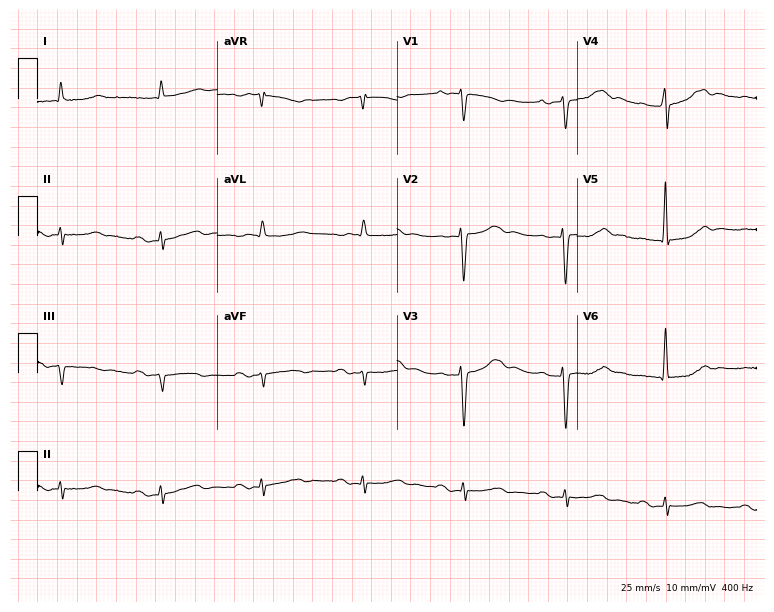
Standard 12-lead ECG recorded from a man, 85 years old (7.3-second recording at 400 Hz). None of these six findings is recorded: first-degree AV block, right bundle branch block, left bundle branch block, sinus bradycardia, atrial fibrillation, sinus tachycardia.